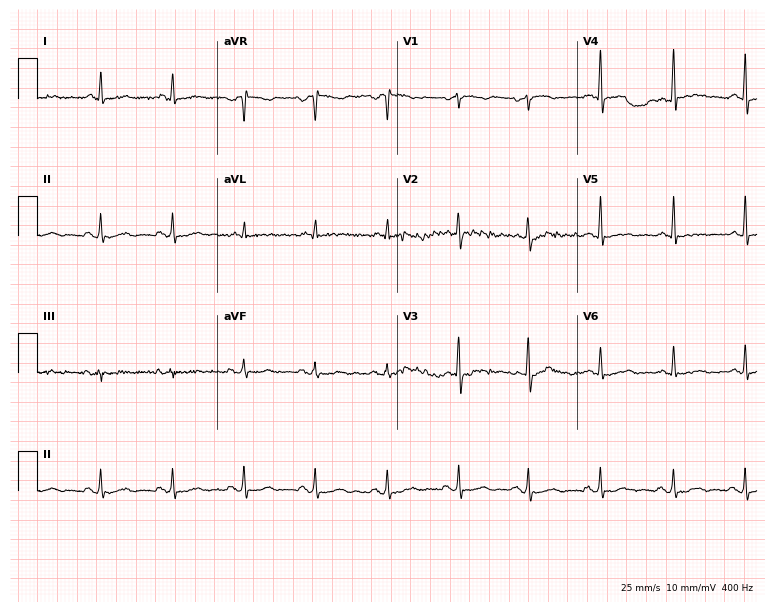
12-lead ECG from a 50-year-old man. Screened for six findings — first-degree AV block, right bundle branch block, left bundle branch block, sinus bradycardia, atrial fibrillation, sinus tachycardia — none is recorded. Findings outside these six are not listed.